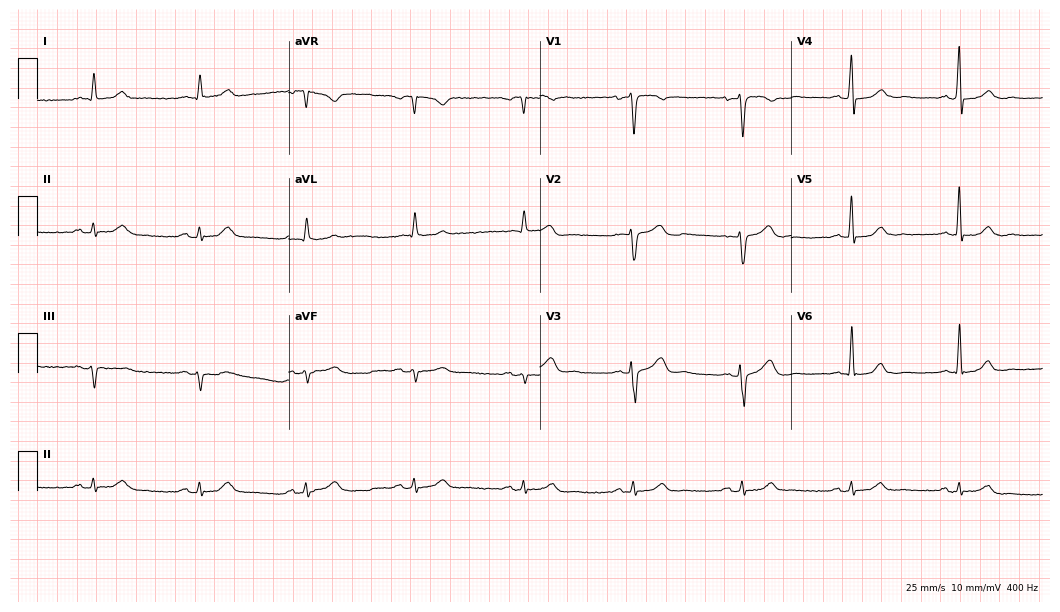
Resting 12-lead electrocardiogram. Patient: a male, 67 years old. Read as a normal ECG.